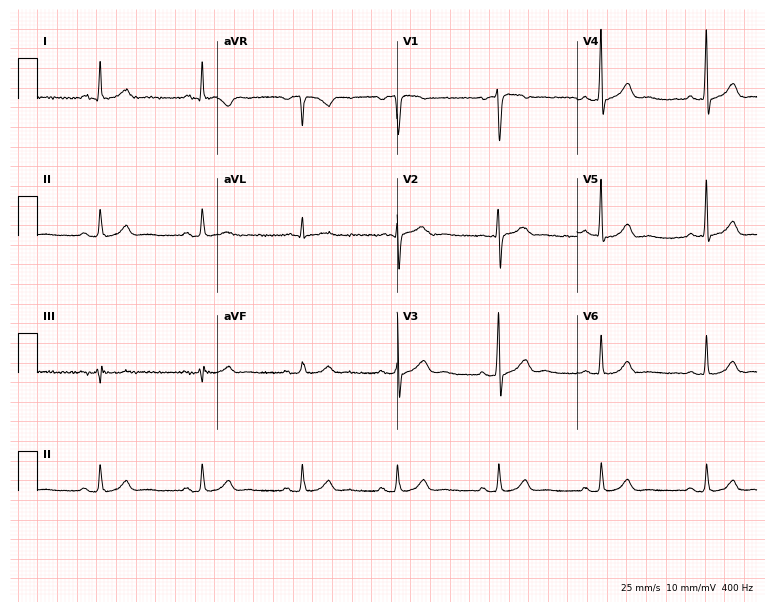
Resting 12-lead electrocardiogram. Patient: a man, 50 years old. Read as a normal ECG.